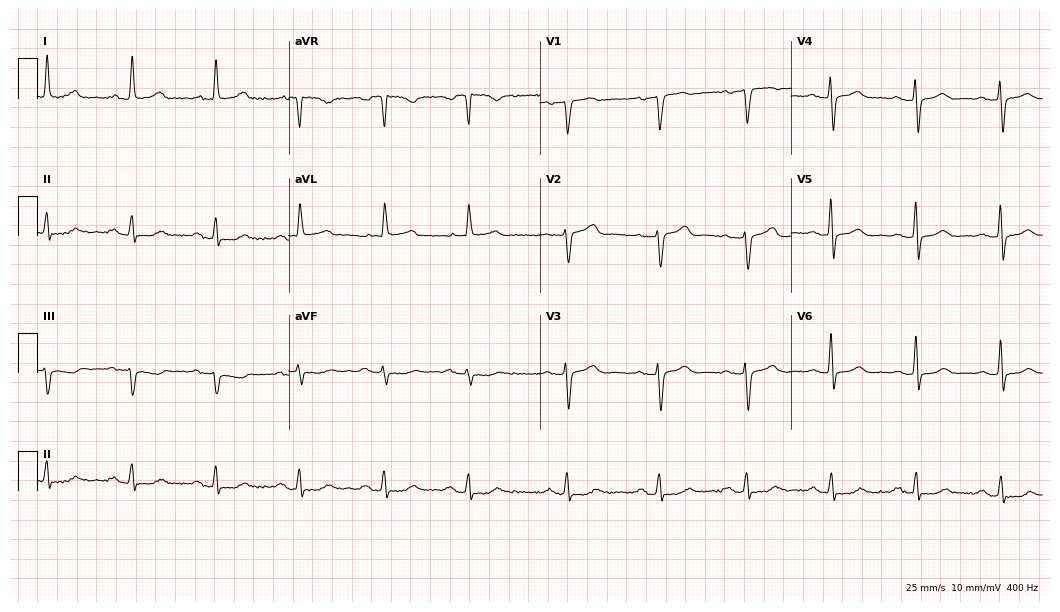
ECG (10.2-second recording at 400 Hz) — a 75-year-old female patient. Screened for six findings — first-degree AV block, right bundle branch block, left bundle branch block, sinus bradycardia, atrial fibrillation, sinus tachycardia — none is recorded. Findings outside these six are not listed.